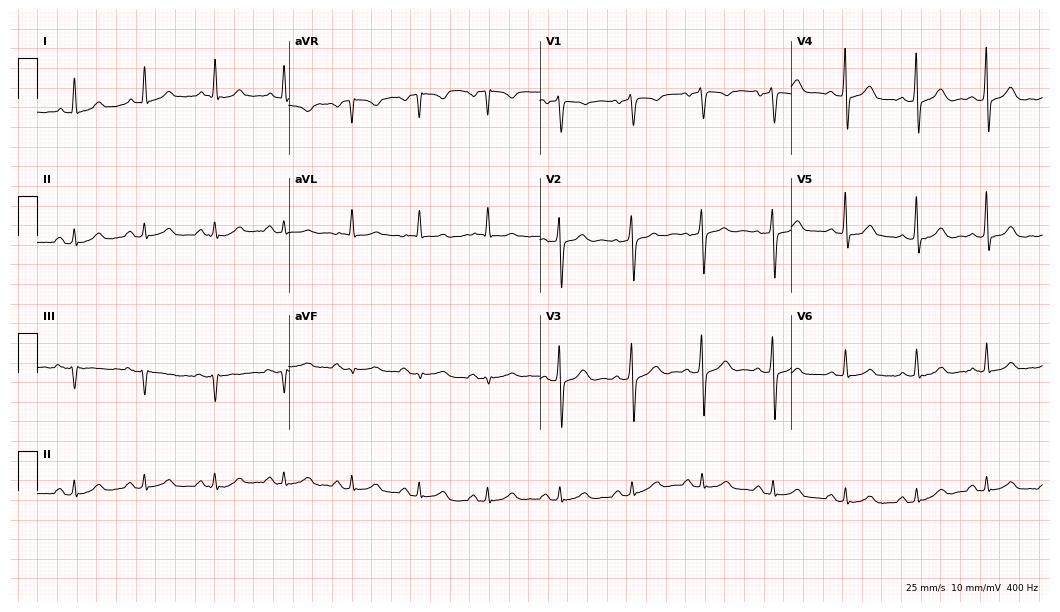
12-lead ECG (10.2-second recording at 400 Hz) from a 59-year-old male patient. Screened for six findings — first-degree AV block, right bundle branch block, left bundle branch block, sinus bradycardia, atrial fibrillation, sinus tachycardia — none is recorded.